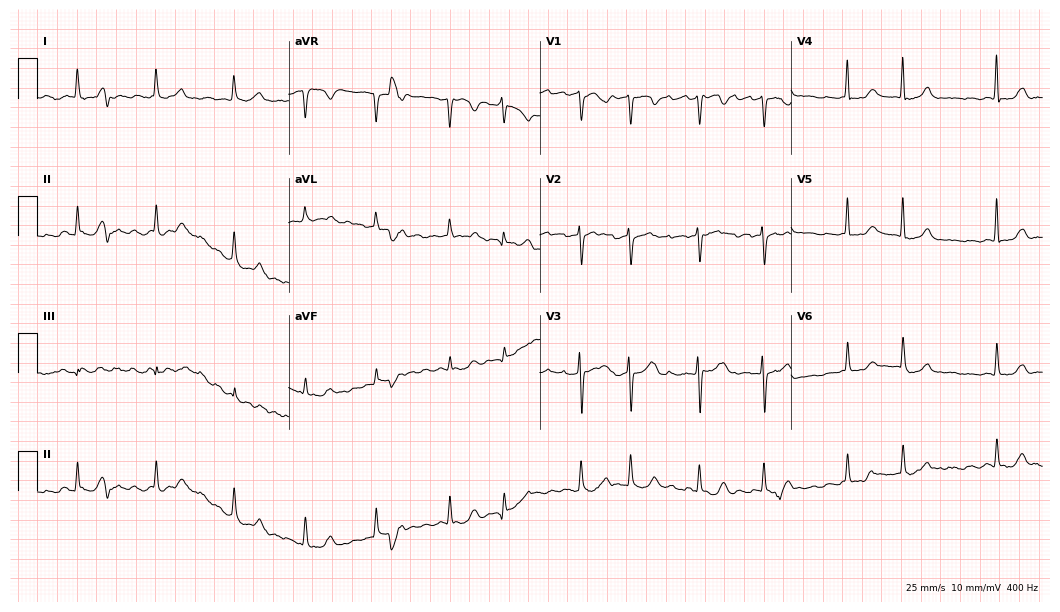
12-lead ECG from an 80-year-old female patient (10.2-second recording at 400 Hz). No first-degree AV block, right bundle branch block (RBBB), left bundle branch block (LBBB), sinus bradycardia, atrial fibrillation (AF) or sinus tachycardia recorded for this tracing.